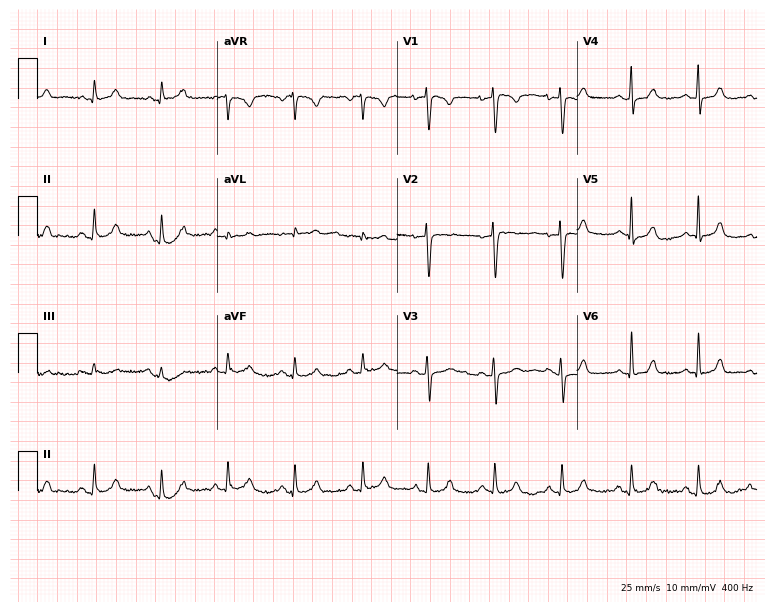
Resting 12-lead electrocardiogram (7.3-second recording at 400 Hz). Patient: a 27-year-old female. Read as a normal ECG.